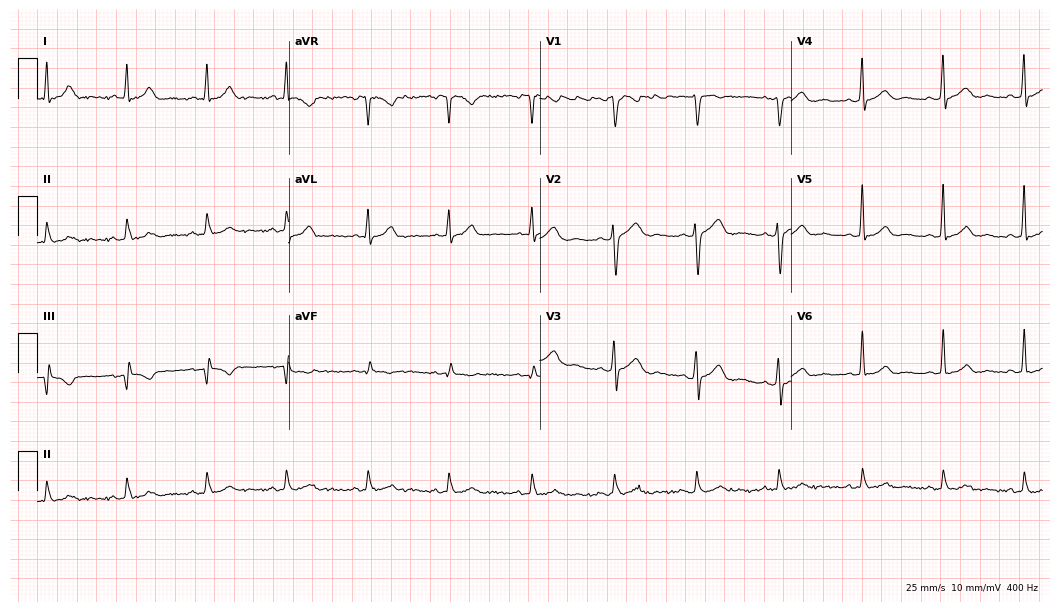
Standard 12-lead ECG recorded from a man, 42 years old (10.2-second recording at 400 Hz). None of these six findings is recorded: first-degree AV block, right bundle branch block (RBBB), left bundle branch block (LBBB), sinus bradycardia, atrial fibrillation (AF), sinus tachycardia. Findings outside these six are not listed.